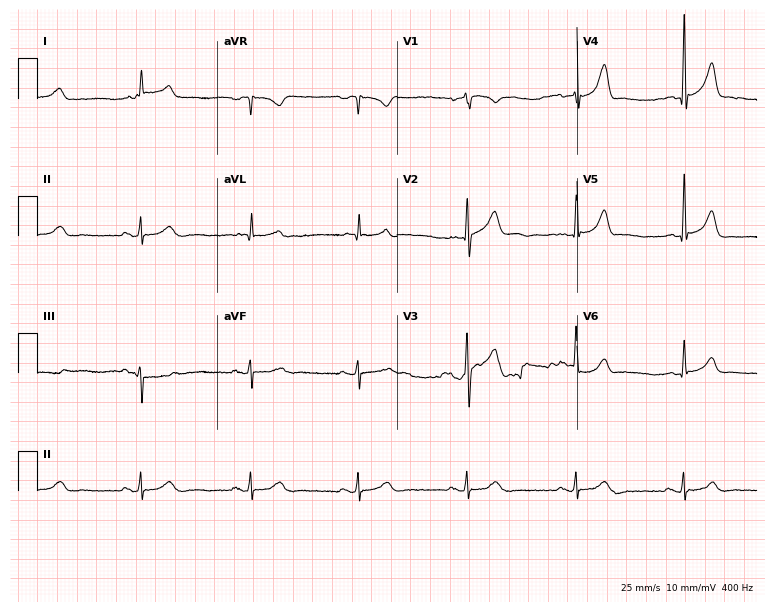
ECG (7.3-second recording at 400 Hz) — a 76-year-old man. Screened for six findings — first-degree AV block, right bundle branch block (RBBB), left bundle branch block (LBBB), sinus bradycardia, atrial fibrillation (AF), sinus tachycardia — none is recorded.